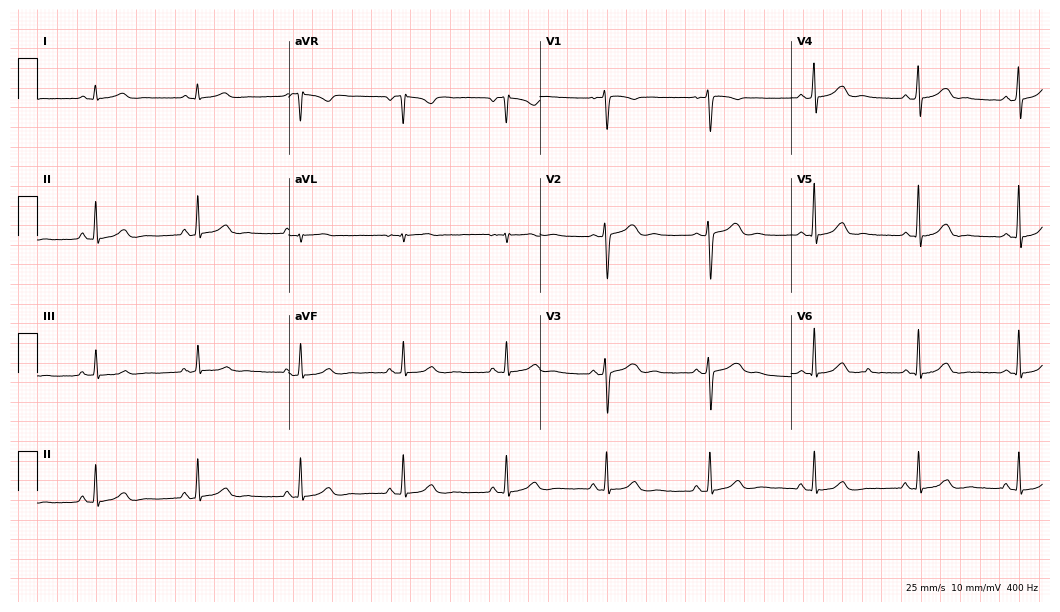
12-lead ECG from a 35-year-old female patient. Recorded interpretation: within normal limits.